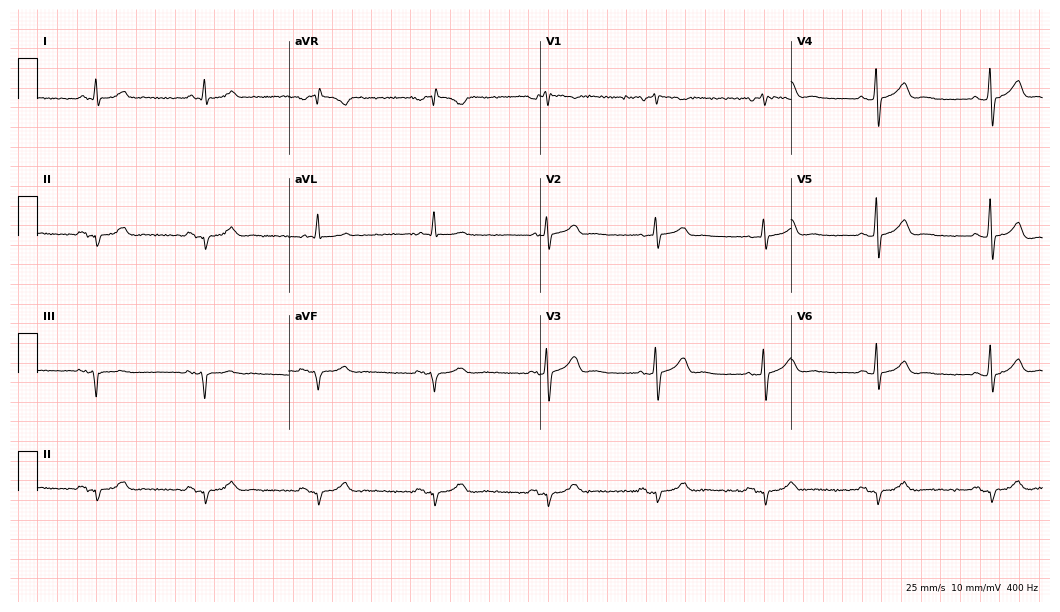
Electrocardiogram (10.2-second recording at 400 Hz), a 60-year-old male. Of the six screened findings (first-degree AV block, right bundle branch block, left bundle branch block, sinus bradycardia, atrial fibrillation, sinus tachycardia), none is recorded.